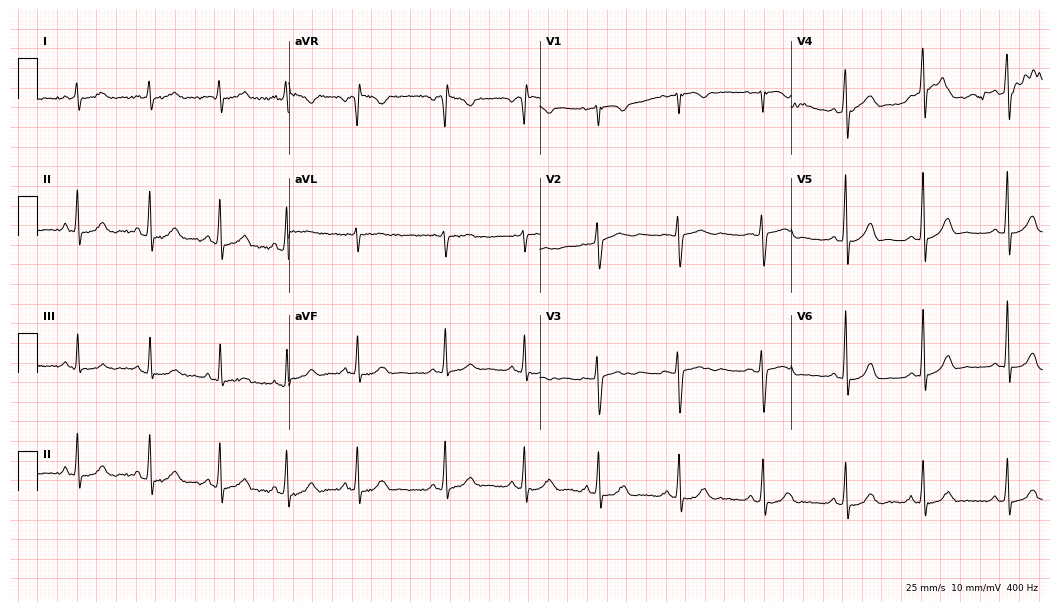
Electrocardiogram (10.2-second recording at 400 Hz), a 31-year-old female. Overall reading on record: normal ECG.